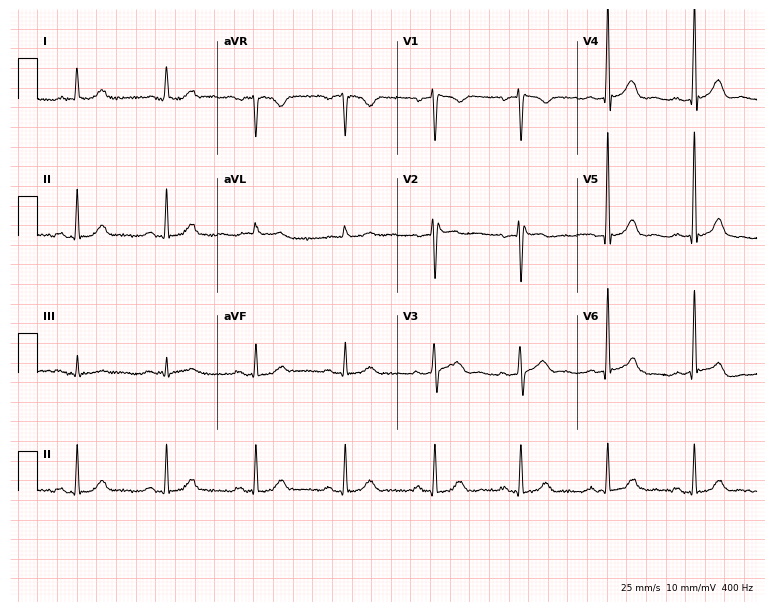
ECG (7.3-second recording at 400 Hz) — a man, 42 years old. Labelled as a normal ECG.